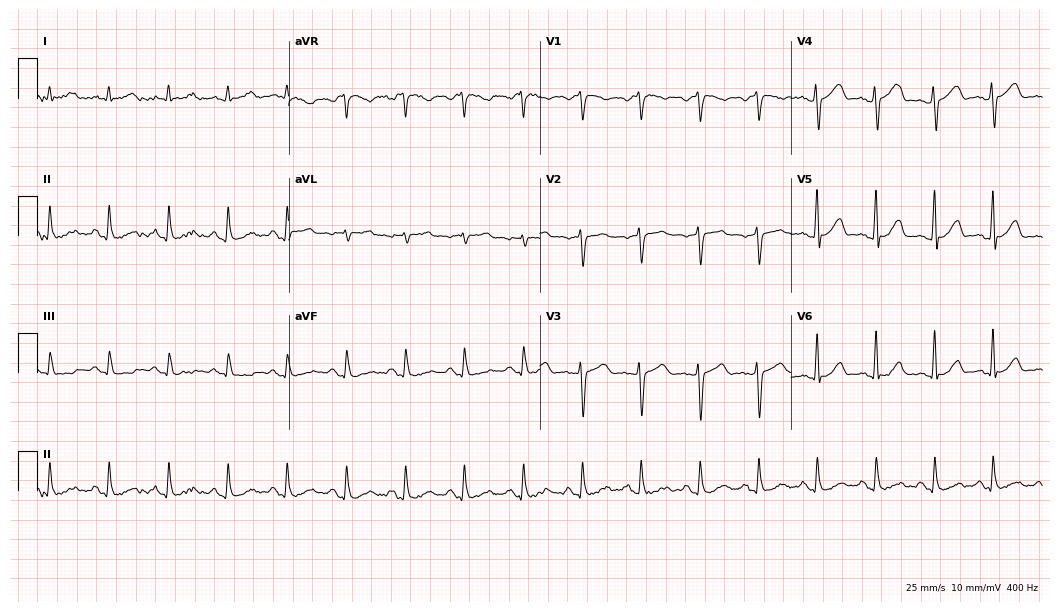
Resting 12-lead electrocardiogram. Patient: a 64-year-old male. Read as a normal ECG.